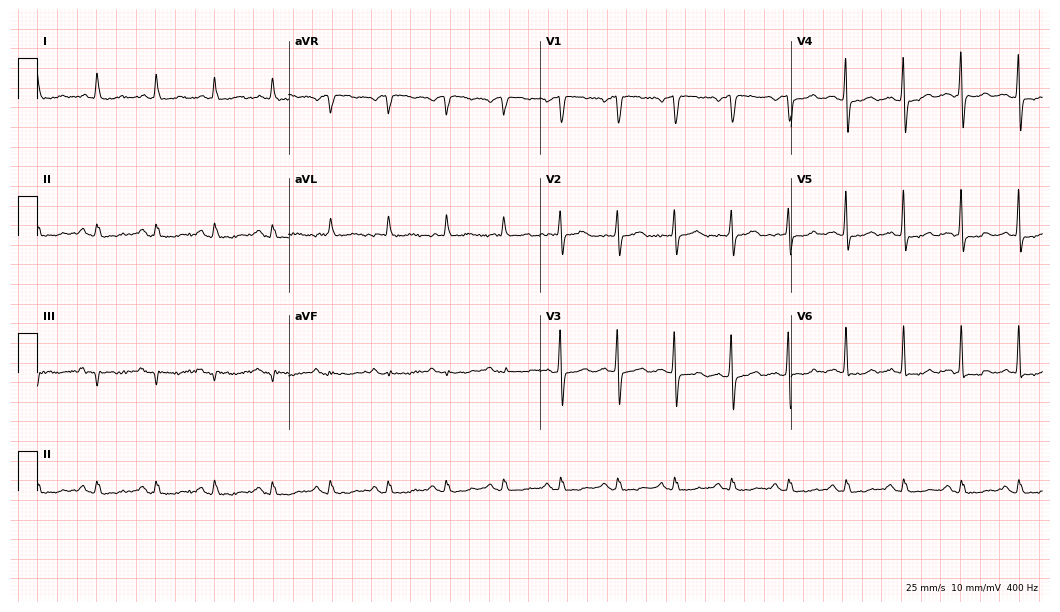
12-lead ECG from a male patient, 67 years old. No first-degree AV block, right bundle branch block, left bundle branch block, sinus bradycardia, atrial fibrillation or sinus tachycardia recorded for this tracing.